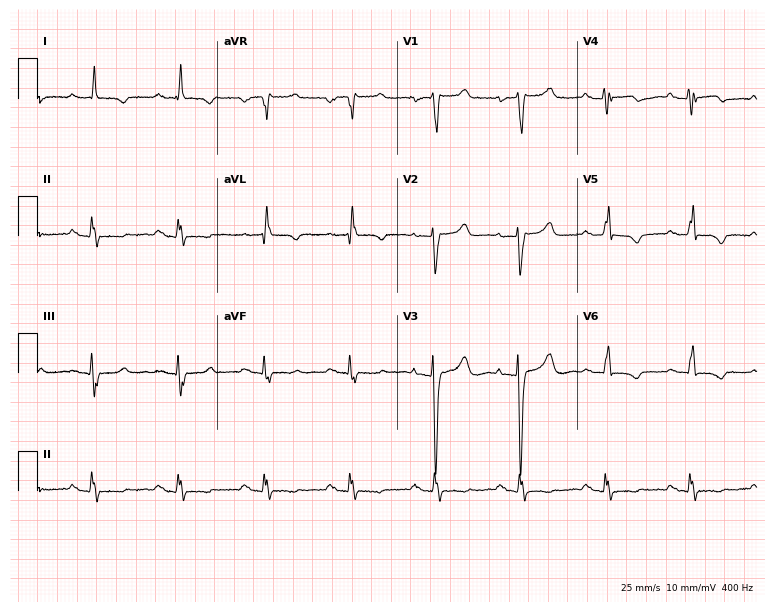
Standard 12-lead ECG recorded from a 49-year-old female (7.3-second recording at 400 Hz). None of these six findings is recorded: first-degree AV block, right bundle branch block, left bundle branch block, sinus bradycardia, atrial fibrillation, sinus tachycardia. Findings outside these six are not listed.